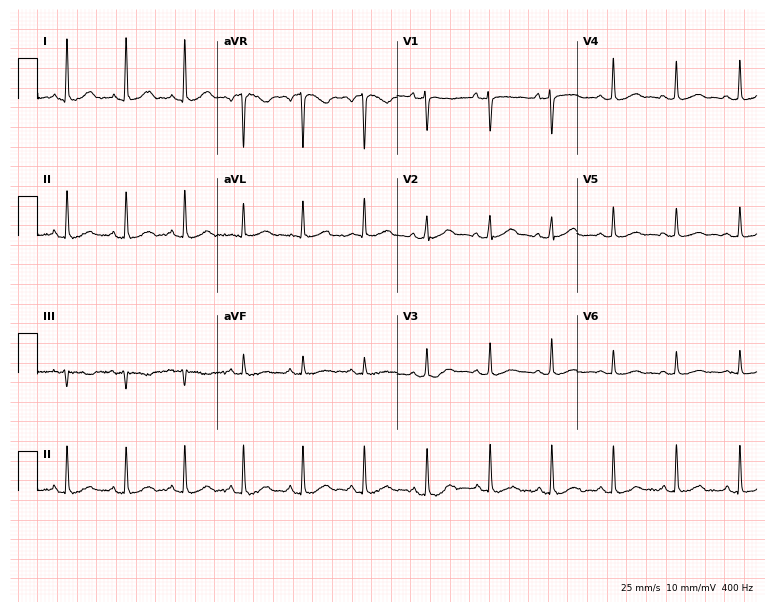
Electrocardiogram, a female, 39 years old. Overall reading on record: normal ECG.